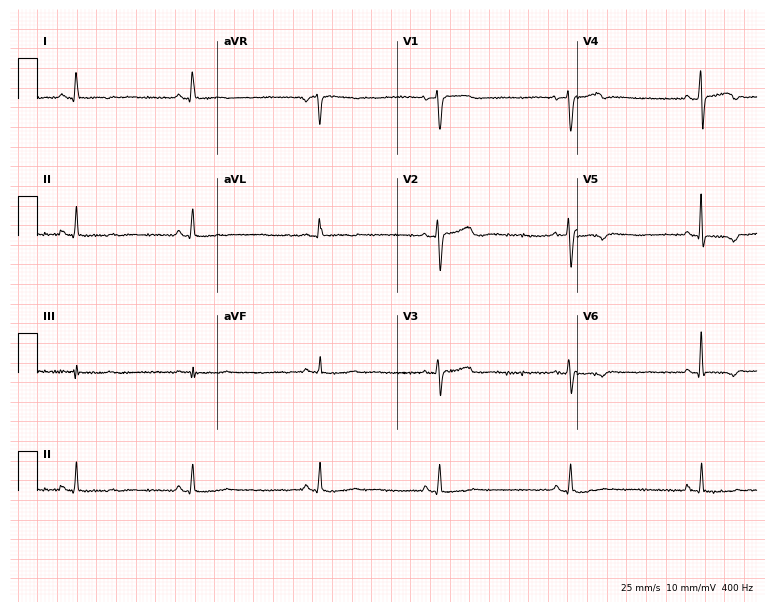
Electrocardiogram (7.3-second recording at 400 Hz), a female, 54 years old. Interpretation includes sinus bradycardia (a sinus rate of 50 beats per minute or less).